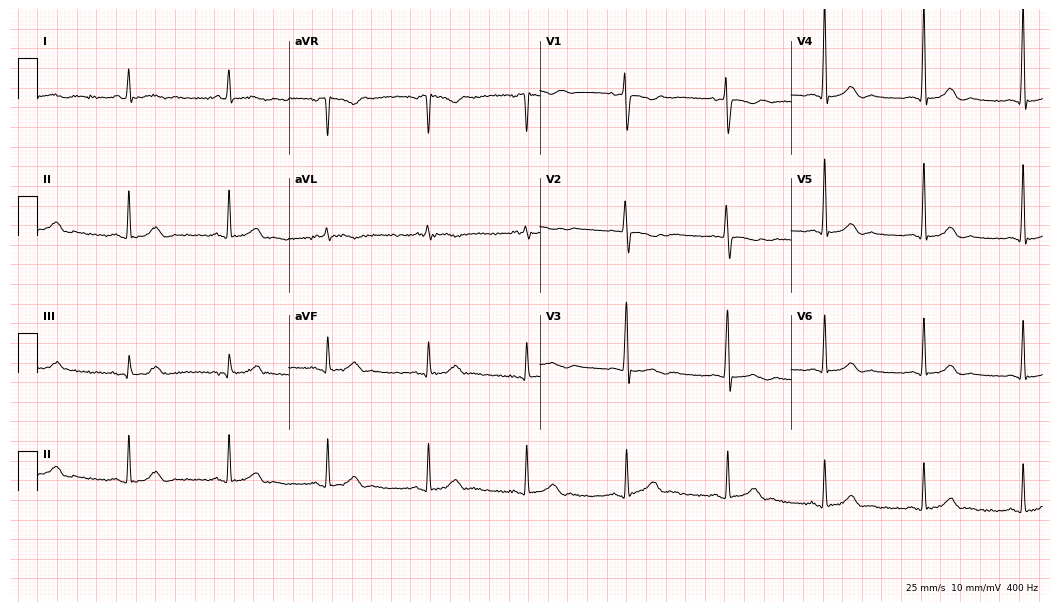
ECG — a woman, 75 years old. Labelled as a normal ECG.